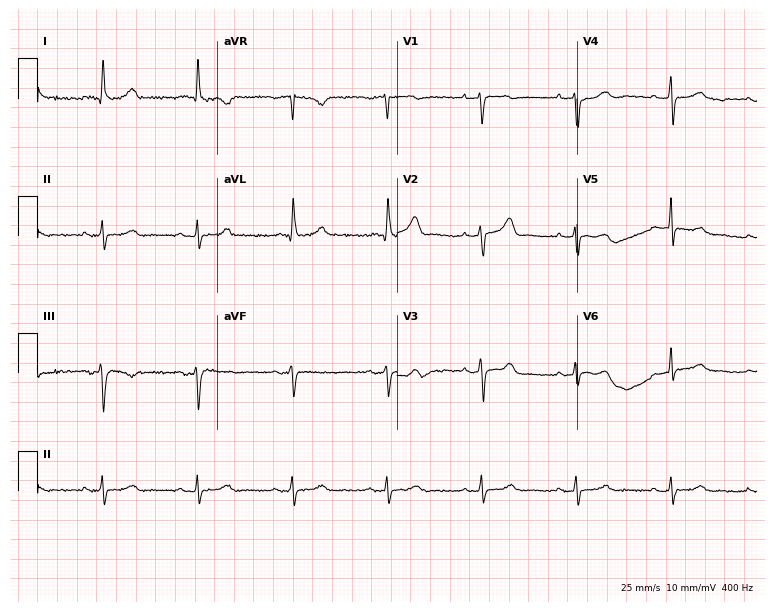
ECG — a male, 77 years old. Labelled as a normal ECG.